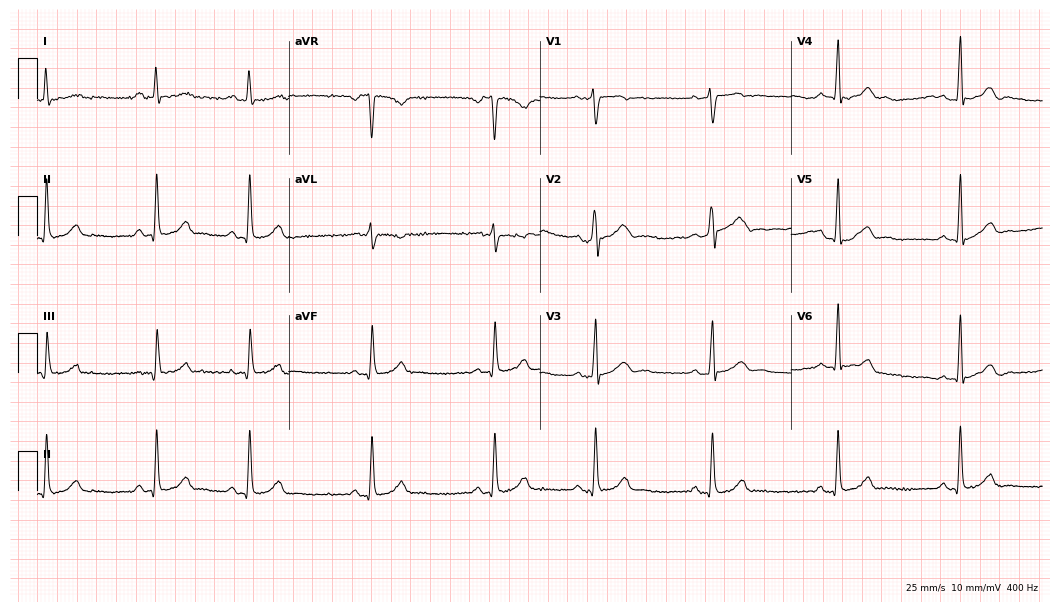
ECG — a woman, 24 years old. Labelled as a normal ECG.